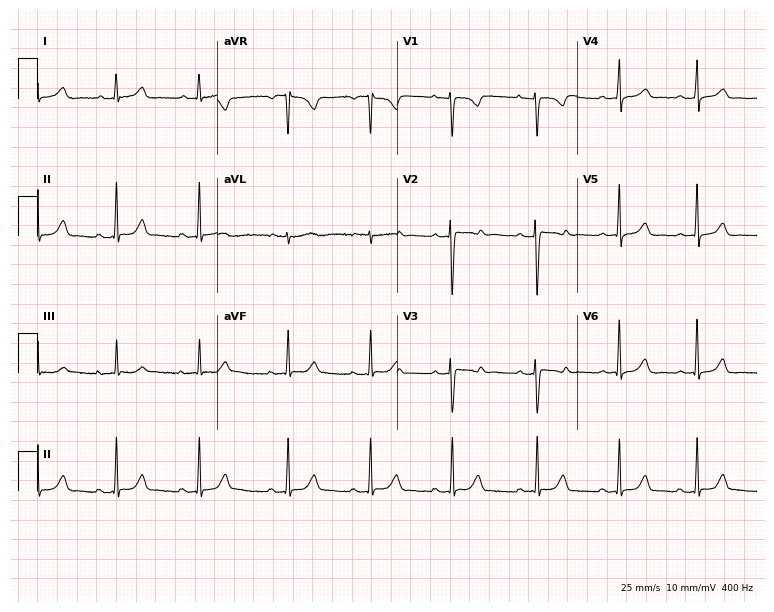
Electrocardiogram, a 39-year-old woman. Of the six screened findings (first-degree AV block, right bundle branch block (RBBB), left bundle branch block (LBBB), sinus bradycardia, atrial fibrillation (AF), sinus tachycardia), none is recorded. Findings outside these six are not listed.